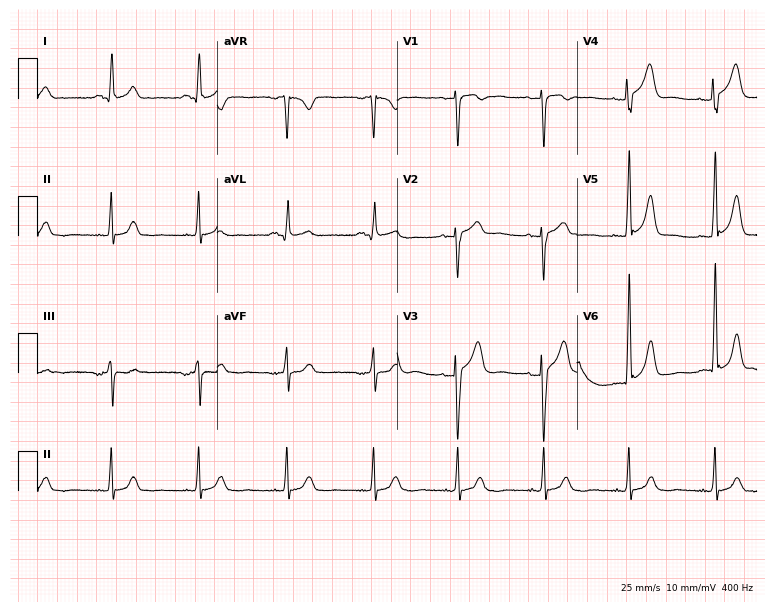
ECG (7.3-second recording at 400 Hz) — a female, 57 years old. Labelled as a normal ECG.